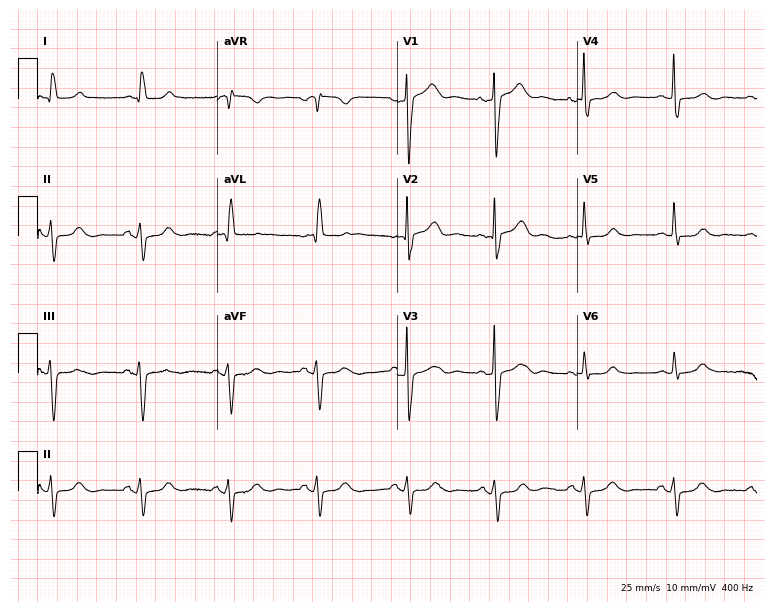
ECG — a woman, 73 years old. Screened for six findings — first-degree AV block, right bundle branch block (RBBB), left bundle branch block (LBBB), sinus bradycardia, atrial fibrillation (AF), sinus tachycardia — none is recorded. Other findings, if any, are not listed.